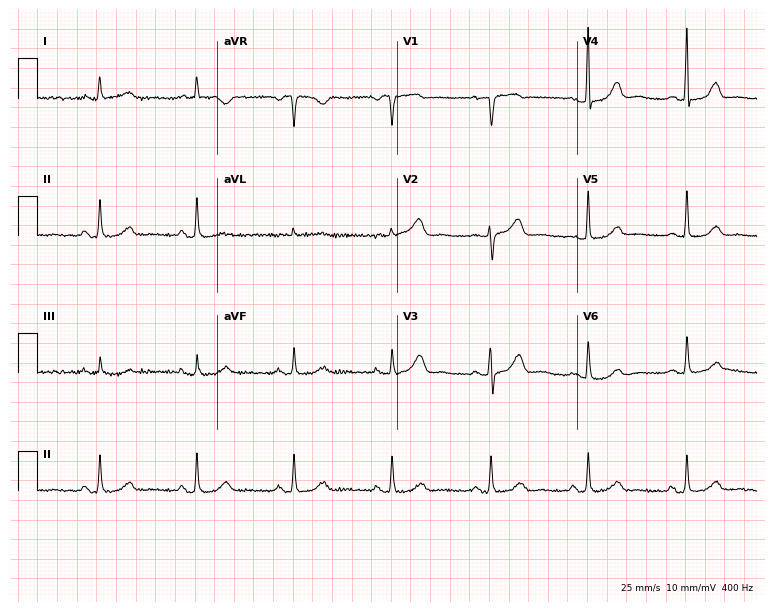
12-lead ECG from a female, 72 years old (7.3-second recording at 400 Hz). Recorded interpretation: within normal limits.